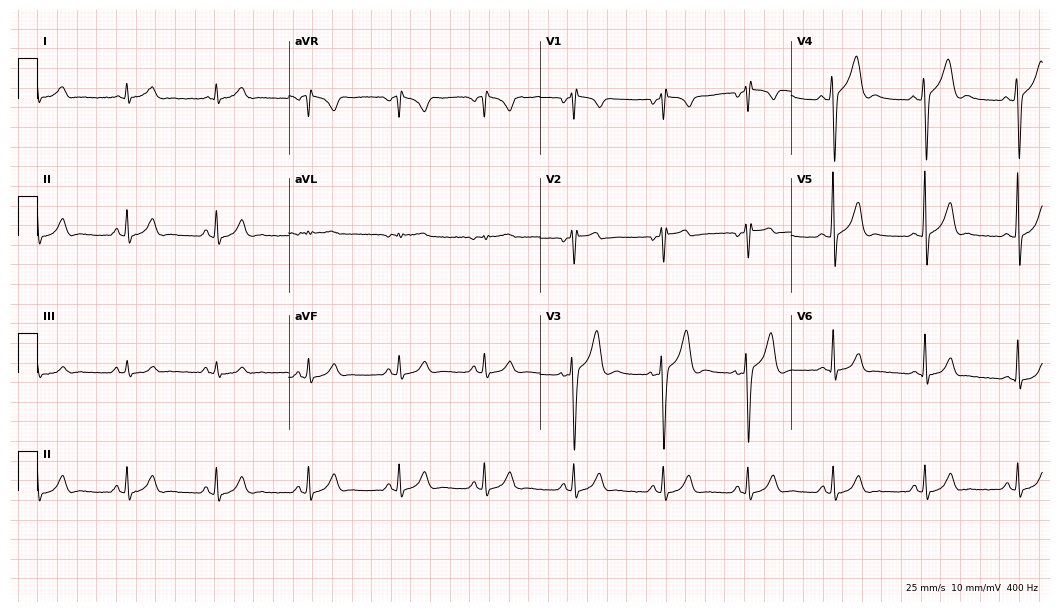
Electrocardiogram, a 17-year-old male. Of the six screened findings (first-degree AV block, right bundle branch block, left bundle branch block, sinus bradycardia, atrial fibrillation, sinus tachycardia), none is recorded. Only these six findings were labelled.